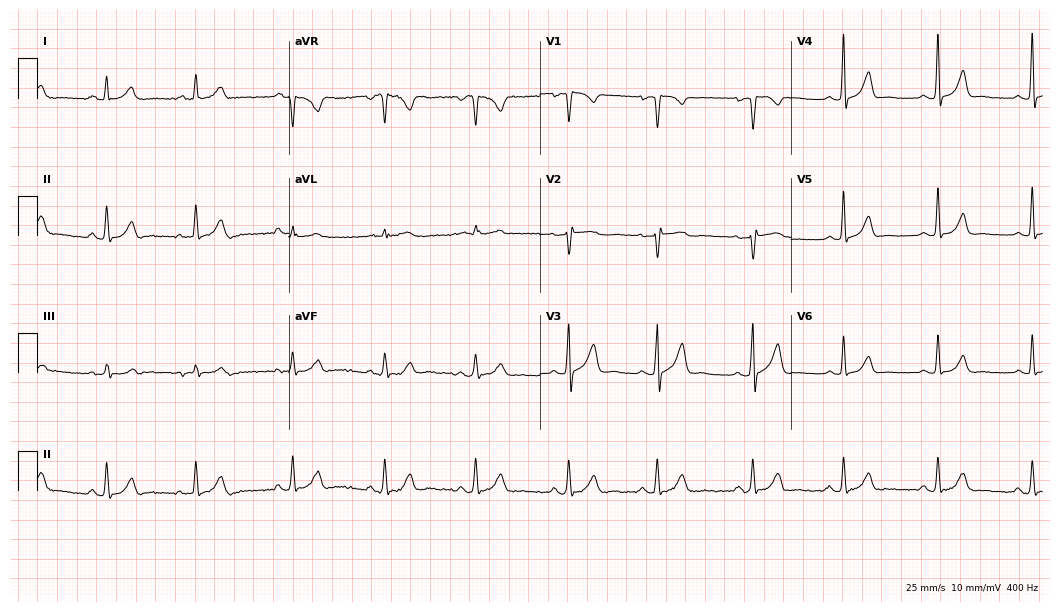
Standard 12-lead ECG recorded from a woman, 28 years old. Read as a normal ECG.